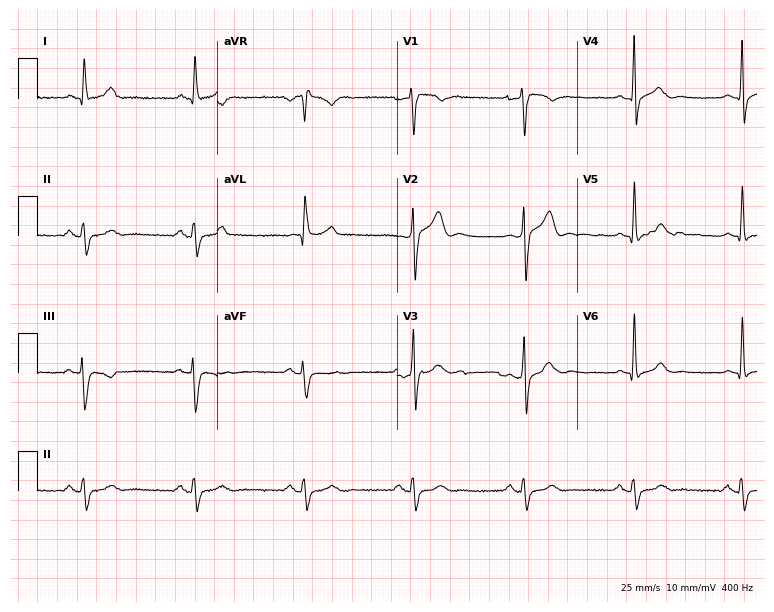
ECG (7.3-second recording at 400 Hz) — a 56-year-old male. Screened for six findings — first-degree AV block, right bundle branch block, left bundle branch block, sinus bradycardia, atrial fibrillation, sinus tachycardia — none is recorded.